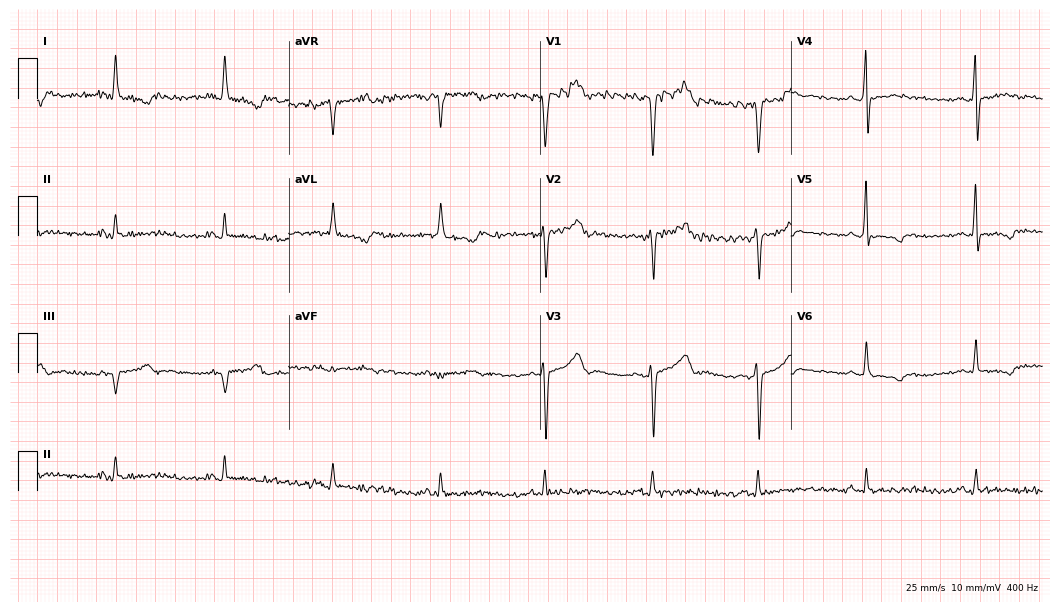
Standard 12-lead ECG recorded from a 59-year-old woman (10.2-second recording at 400 Hz). None of these six findings is recorded: first-degree AV block, right bundle branch block, left bundle branch block, sinus bradycardia, atrial fibrillation, sinus tachycardia.